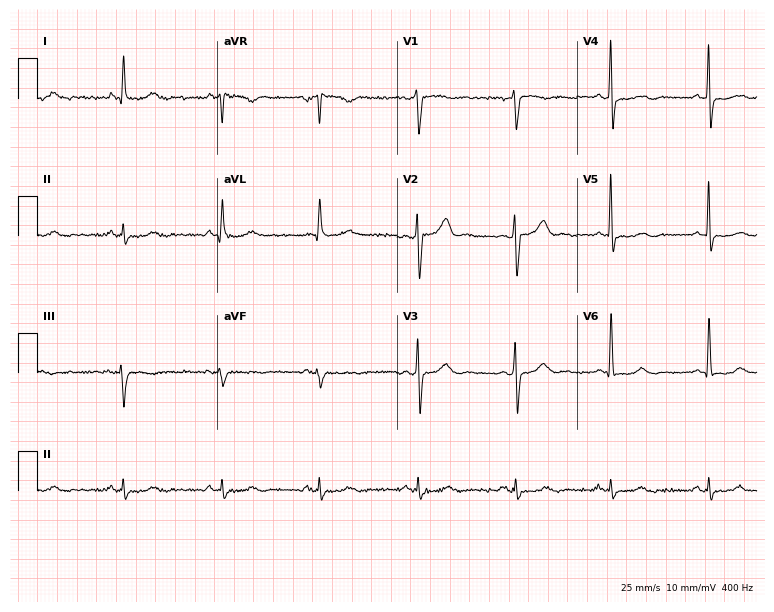
Electrocardiogram, a male, 63 years old. Of the six screened findings (first-degree AV block, right bundle branch block, left bundle branch block, sinus bradycardia, atrial fibrillation, sinus tachycardia), none is recorded. Findings outside these six are not listed.